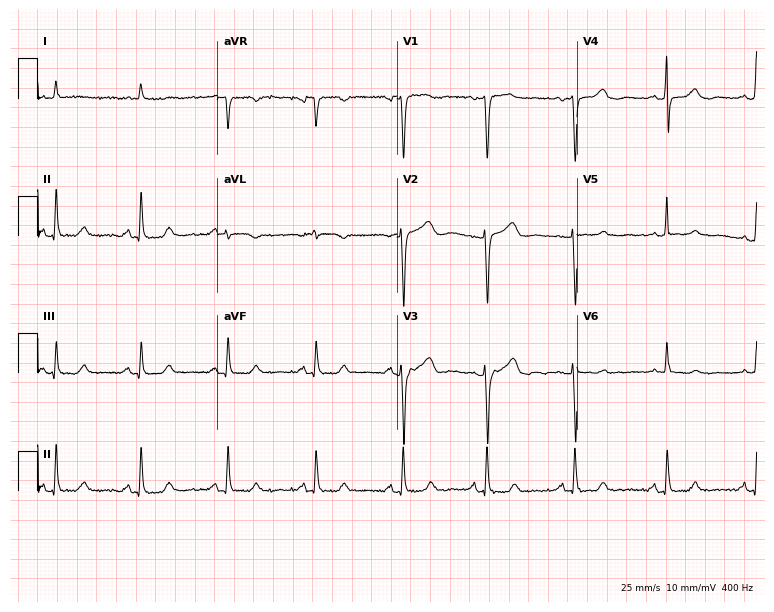
12-lead ECG from a 53-year-old woman (7.3-second recording at 400 Hz). No first-degree AV block, right bundle branch block (RBBB), left bundle branch block (LBBB), sinus bradycardia, atrial fibrillation (AF) or sinus tachycardia recorded for this tracing.